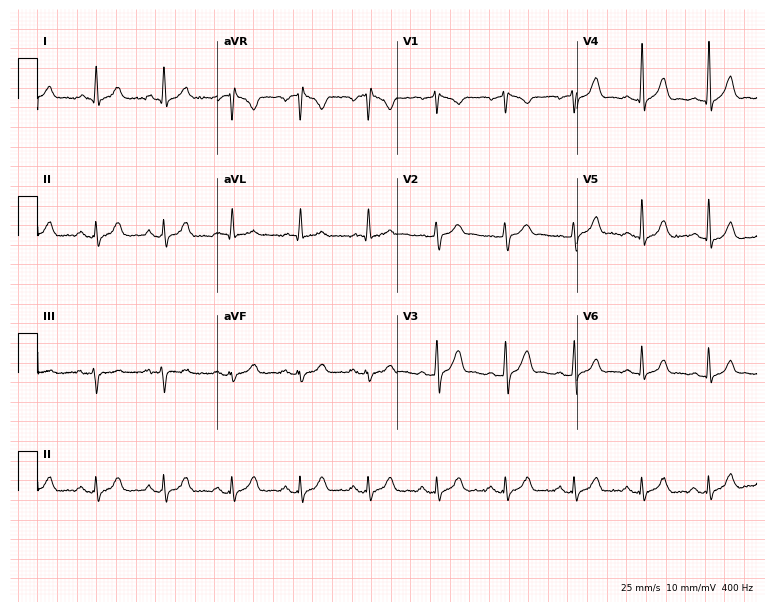
Resting 12-lead electrocardiogram. Patient: a 63-year-old male. Read as a normal ECG.